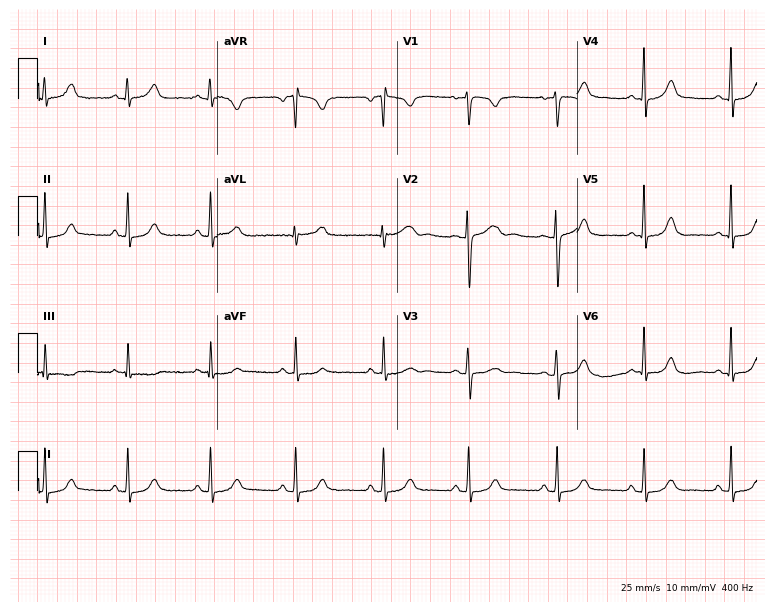
ECG (7.3-second recording at 400 Hz) — a female, 31 years old. Labelled as a normal ECG.